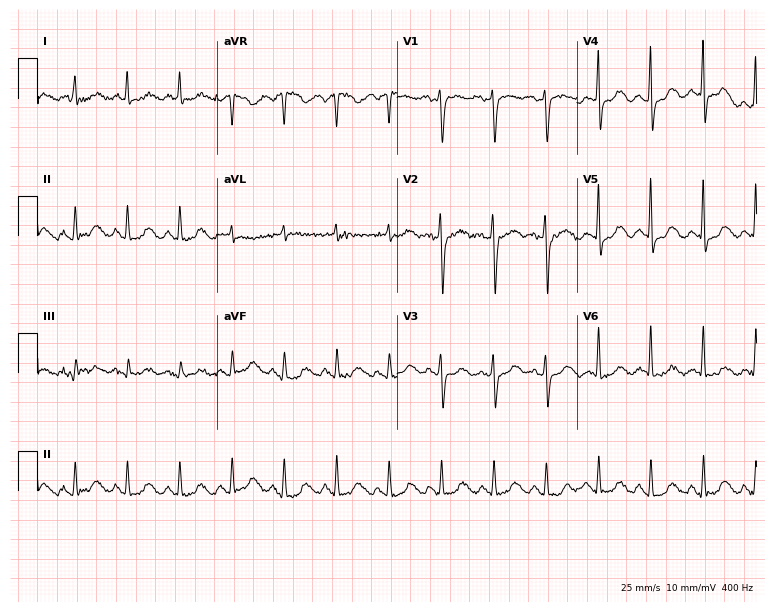
Resting 12-lead electrocardiogram (7.3-second recording at 400 Hz). Patient: a female, 71 years old. None of these six findings is recorded: first-degree AV block, right bundle branch block, left bundle branch block, sinus bradycardia, atrial fibrillation, sinus tachycardia.